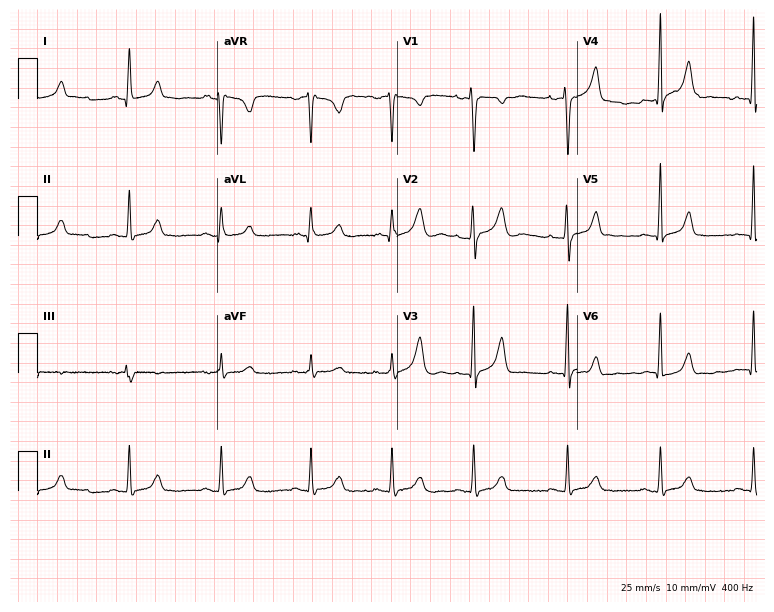
Electrocardiogram (7.3-second recording at 400 Hz), a 25-year-old female. Overall reading on record: normal ECG.